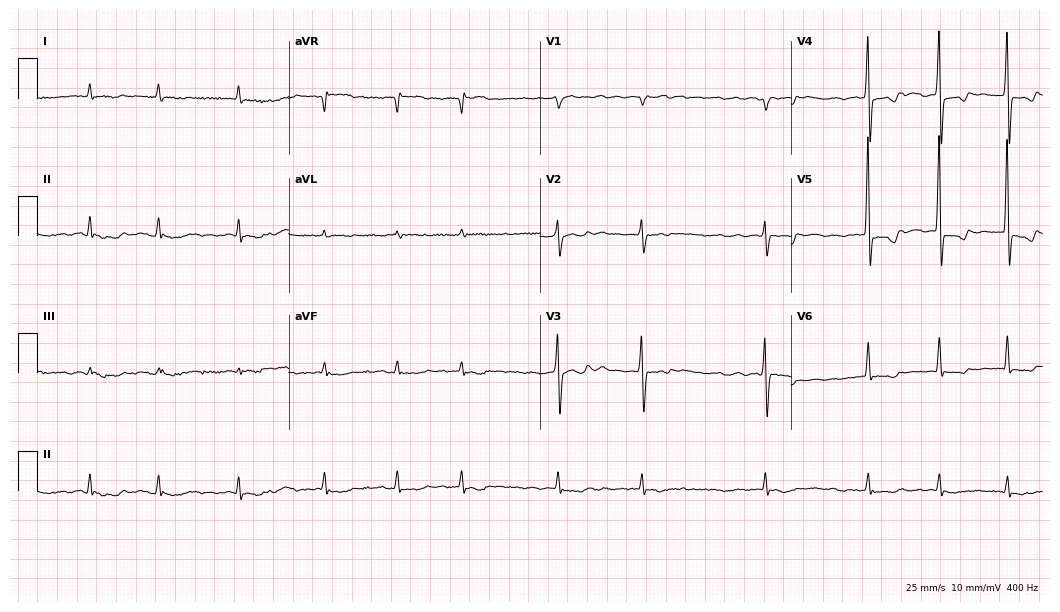
Electrocardiogram, an 82-year-old woman. Of the six screened findings (first-degree AV block, right bundle branch block, left bundle branch block, sinus bradycardia, atrial fibrillation, sinus tachycardia), none is recorded.